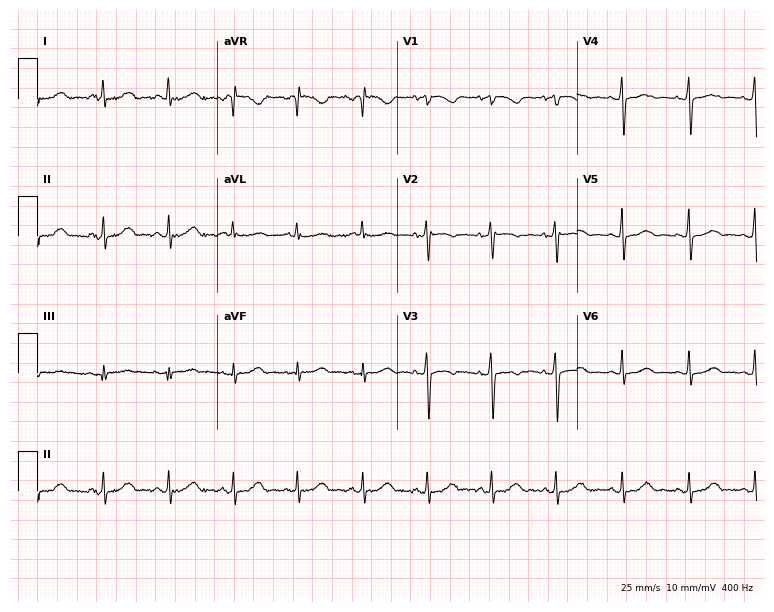
Electrocardiogram, a female, 64 years old. Overall reading on record: normal ECG.